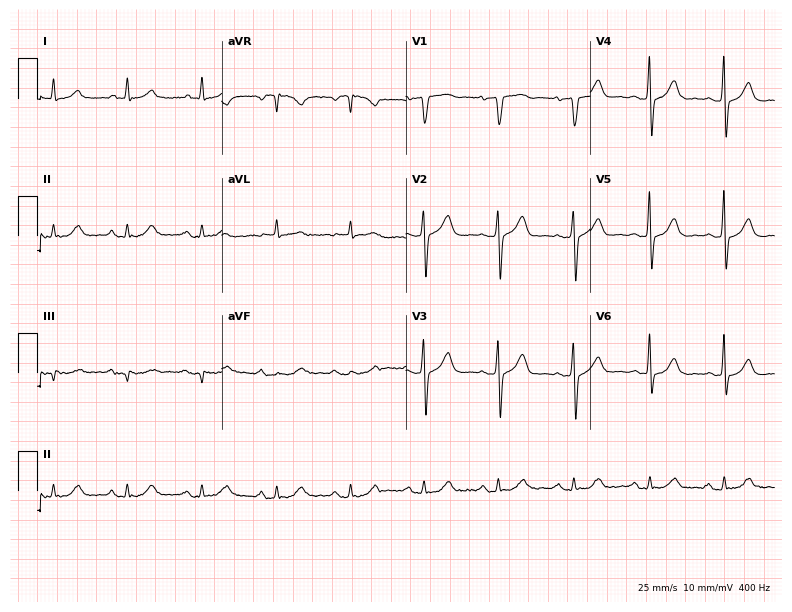
Resting 12-lead electrocardiogram. Patient: a male, 62 years old. None of these six findings is recorded: first-degree AV block, right bundle branch block (RBBB), left bundle branch block (LBBB), sinus bradycardia, atrial fibrillation (AF), sinus tachycardia.